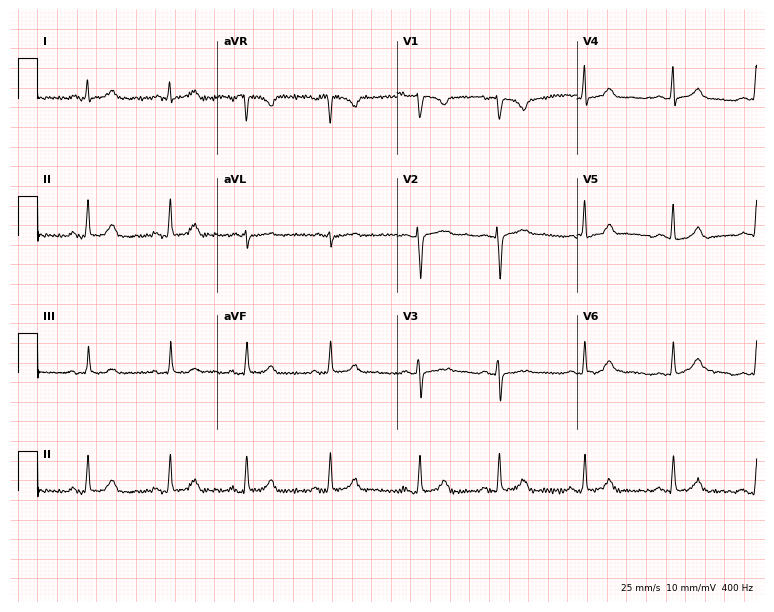
Electrocardiogram, a 24-year-old female patient. Overall reading on record: normal ECG.